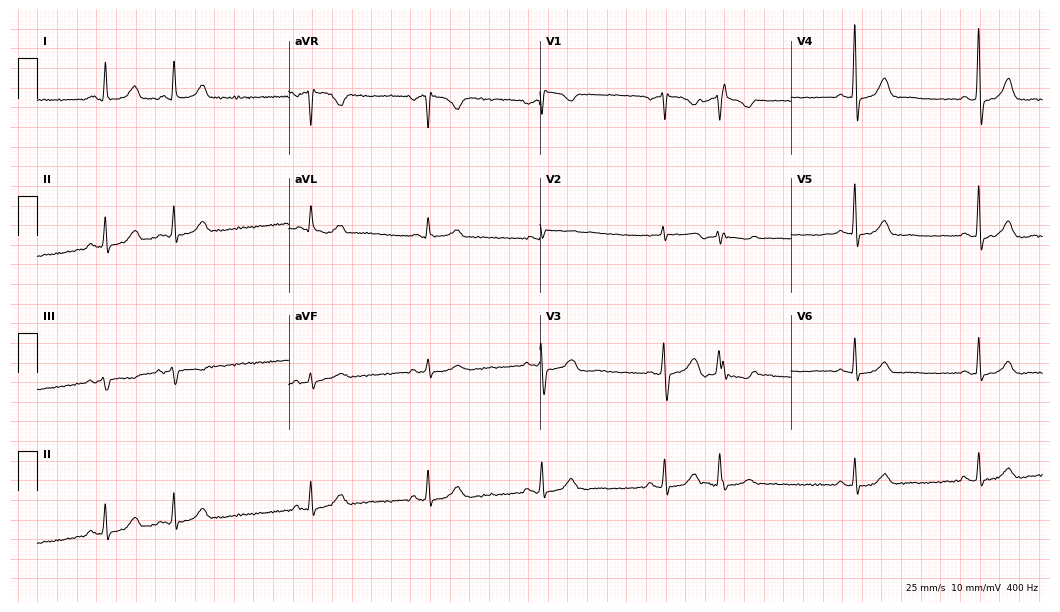
Electrocardiogram (10.2-second recording at 400 Hz), a 61-year-old female patient. Of the six screened findings (first-degree AV block, right bundle branch block (RBBB), left bundle branch block (LBBB), sinus bradycardia, atrial fibrillation (AF), sinus tachycardia), none is recorded.